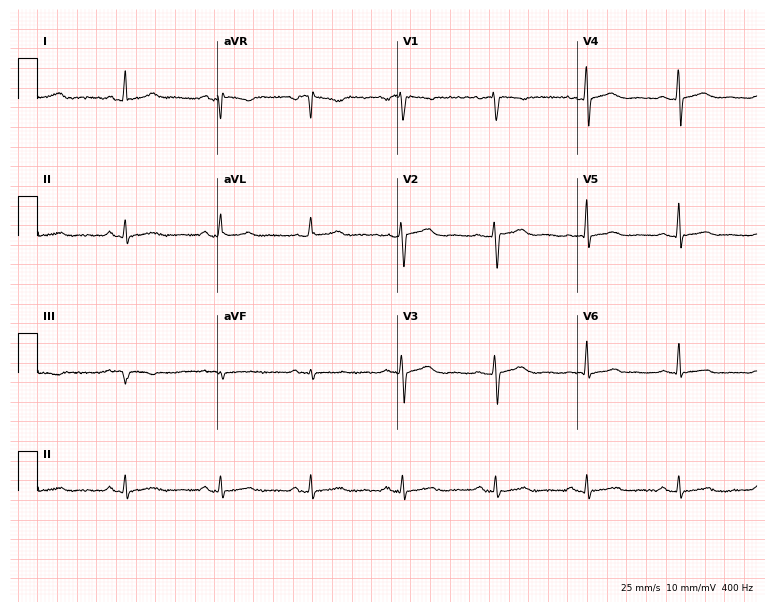
12-lead ECG from a 49-year-old female. Screened for six findings — first-degree AV block, right bundle branch block, left bundle branch block, sinus bradycardia, atrial fibrillation, sinus tachycardia — none is recorded. Other findings, if any, are not listed.